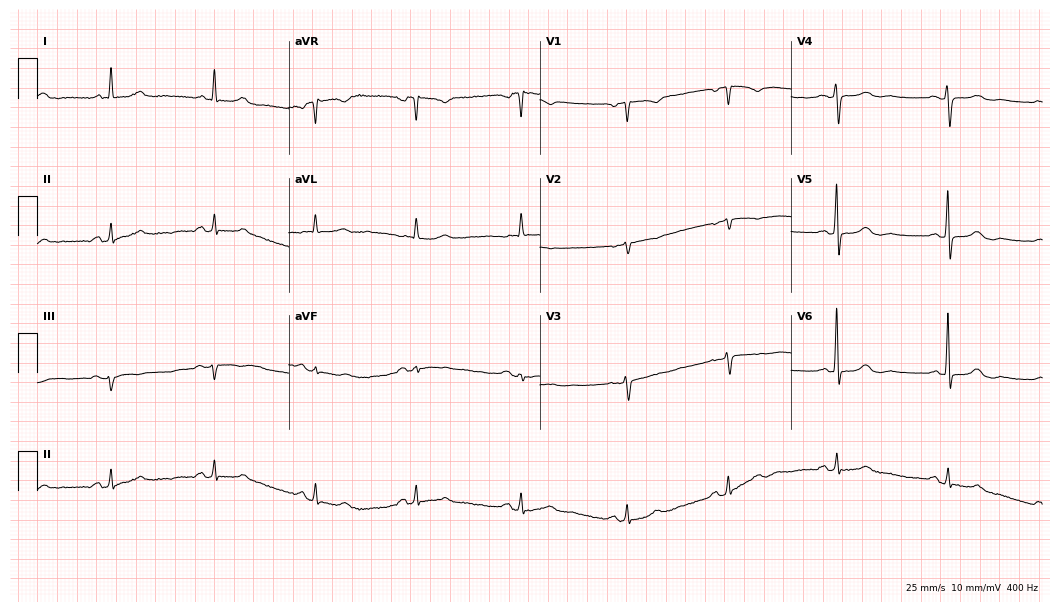
12-lead ECG from an 83-year-old woman (10.2-second recording at 400 Hz). No first-degree AV block, right bundle branch block, left bundle branch block, sinus bradycardia, atrial fibrillation or sinus tachycardia recorded for this tracing. Findings outside these six are not listed.